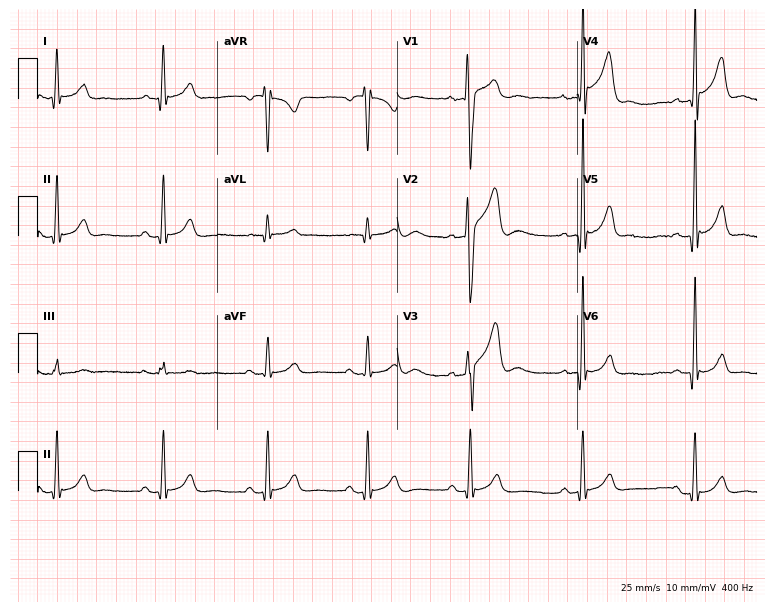
Electrocardiogram (7.3-second recording at 400 Hz), a male, 27 years old. Overall reading on record: normal ECG.